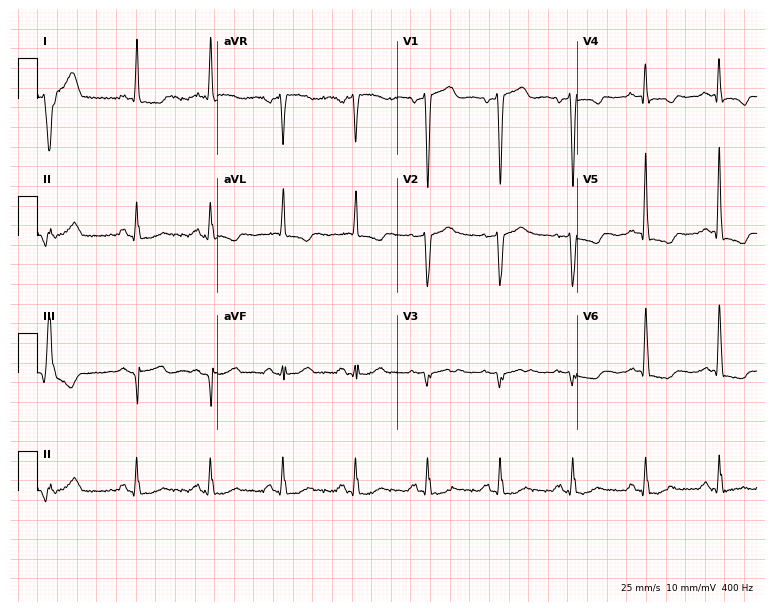
Standard 12-lead ECG recorded from a 76-year-old male patient (7.3-second recording at 400 Hz). None of these six findings is recorded: first-degree AV block, right bundle branch block (RBBB), left bundle branch block (LBBB), sinus bradycardia, atrial fibrillation (AF), sinus tachycardia.